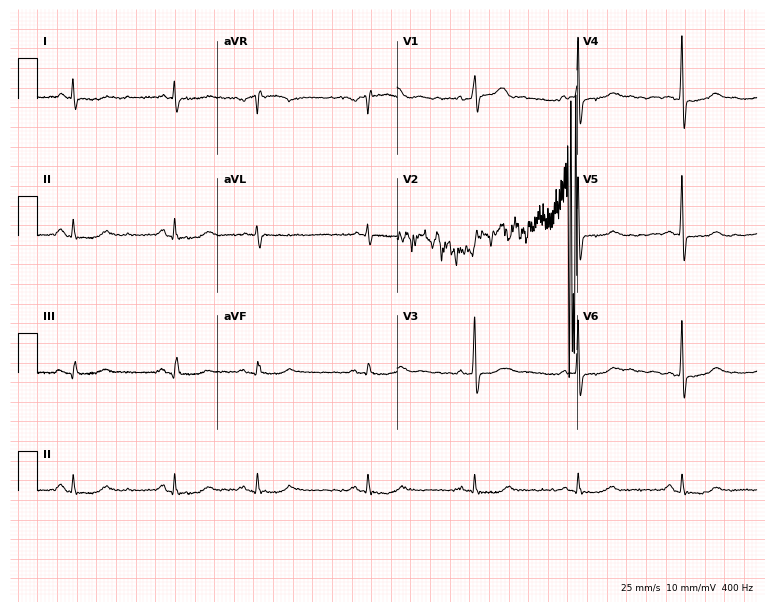
ECG — a 64-year-old male patient. Screened for six findings — first-degree AV block, right bundle branch block (RBBB), left bundle branch block (LBBB), sinus bradycardia, atrial fibrillation (AF), sinus tachycardia — none is recorded.